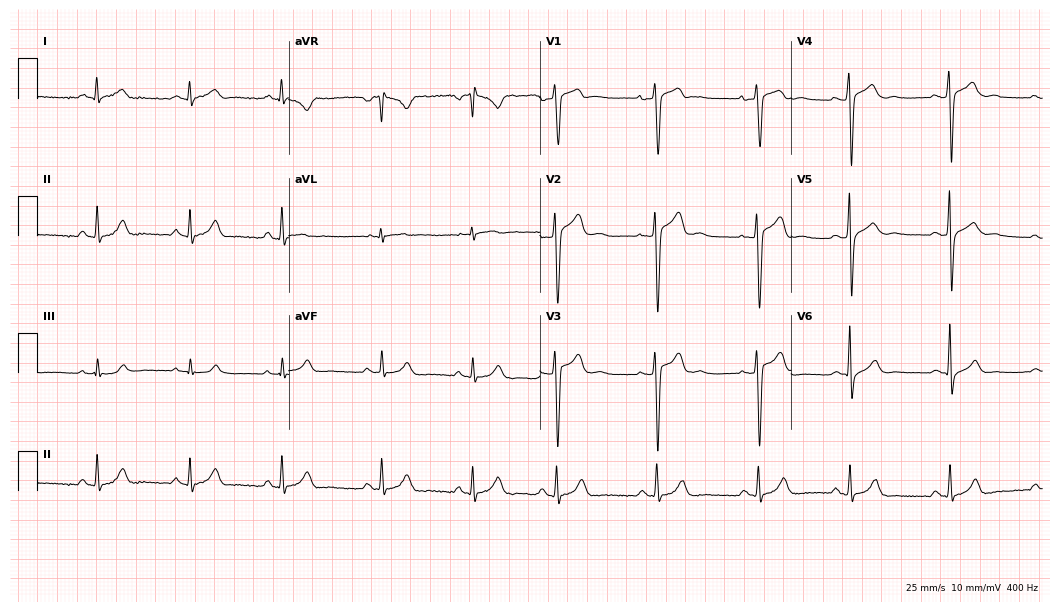
12-lead ECG from a man, 19 years old. Labelled as a normal ECG.